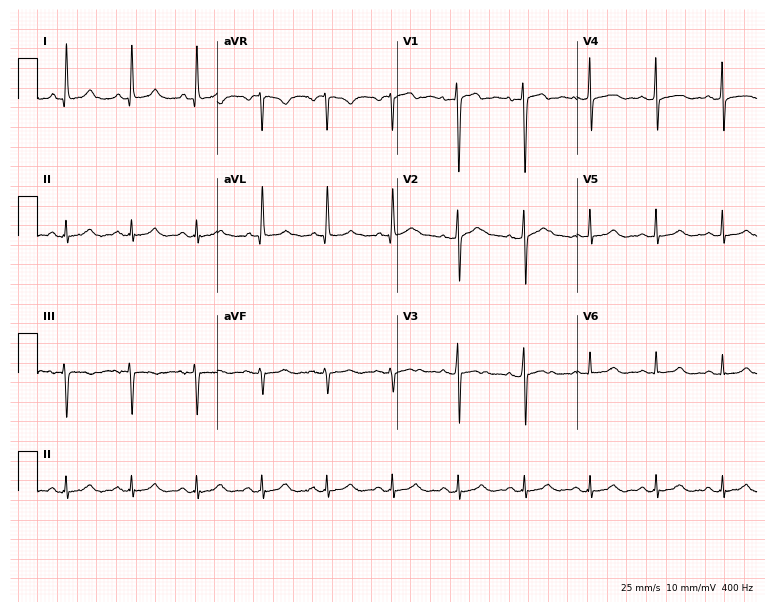
Resting 12-lead electrocardiogram. Patient: a 47-year-old female. Read as a normal ECG.